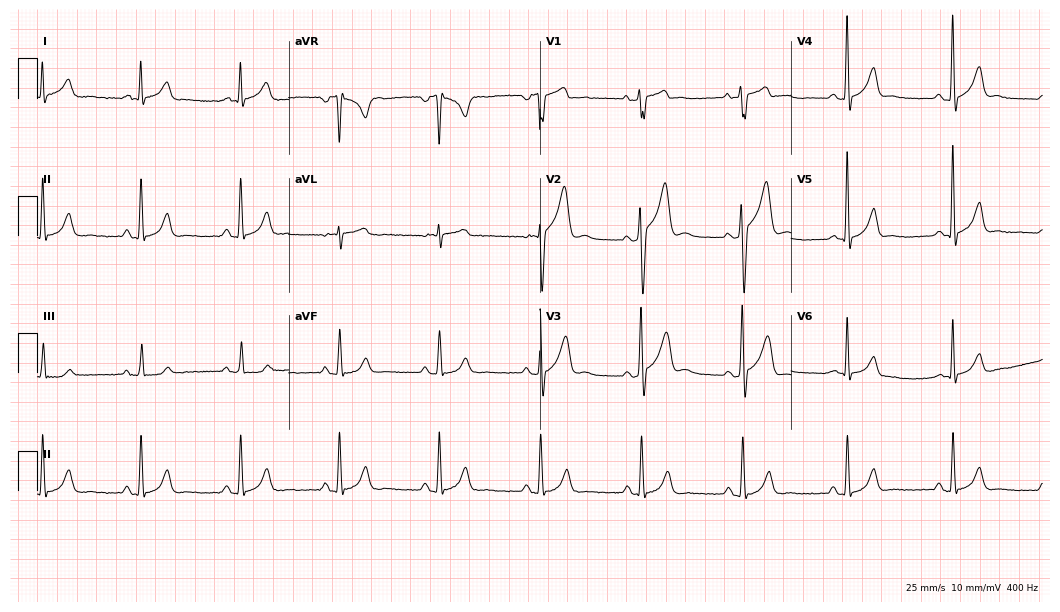
Standard 12-lead ECG recorded from a 50-year-old male. None of these six findings is recorded: first-degree AV block, right bundle branch block, left bundle branch block, sinus bradycardia, atrial fibrillation, sinus tachycardia. Other findings, if any, are not listed.